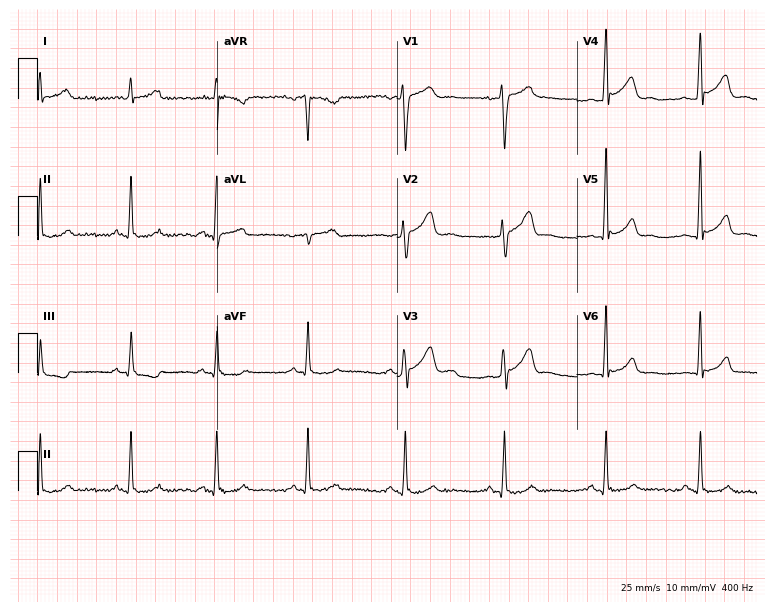
12-lead ECG from a 45-year-old male patient. Labelled as a normal ECG.